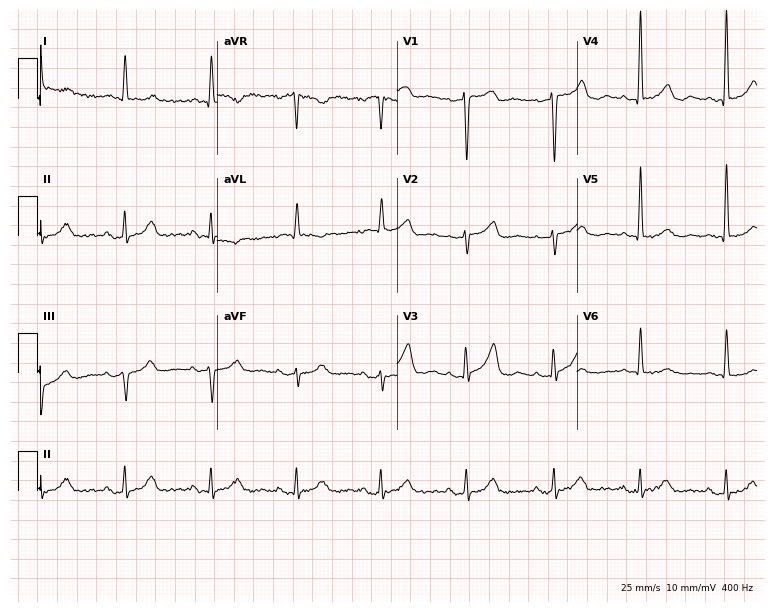
12-lead ECG from an 85-year-old female (7.3-second recording at 400 Hz). No first-degree AV block, right bundle branch block, left bundle branch block, sinus bradycardia, atrial fibrillation or sinus tachycardia recorded for this tracing. Other findings, if any, are not listed.